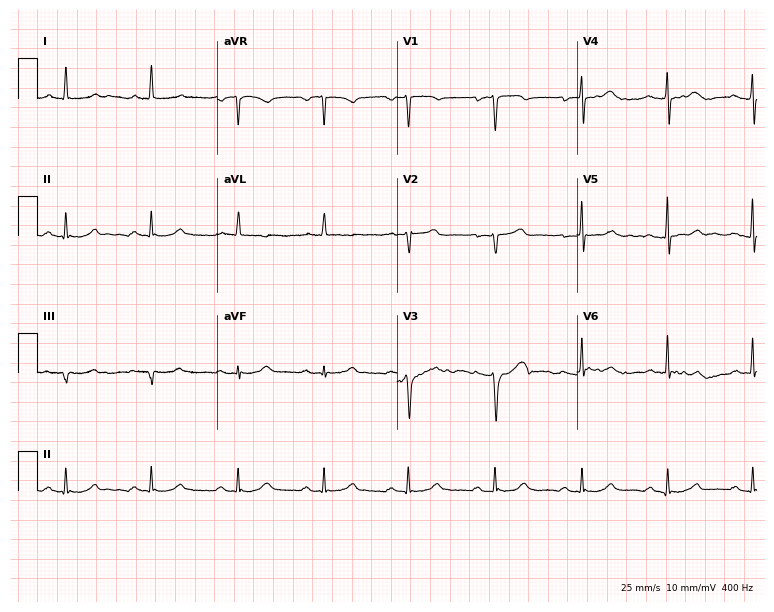
ECG (7.3-second recording at 400 Hz) — a female patient, 72 years old. Screened for six findings — first-degree AV block, right bundle branch block, left bundle branch block, sinus bradycardia, atrial fibrillation, sinus tachycardia — none is recorded. Findings outside these six are not listed.